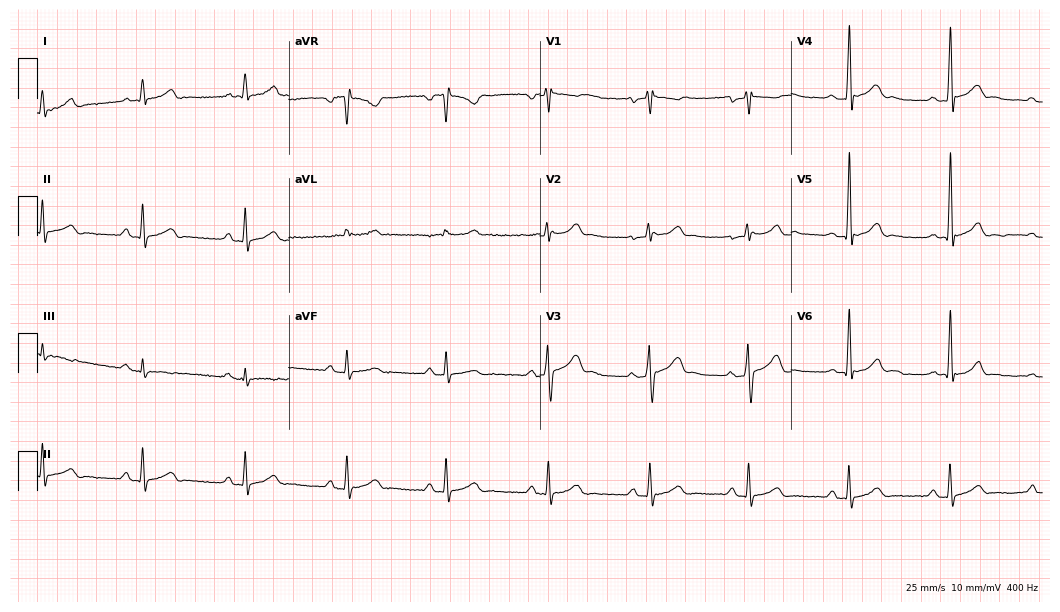
Resting 12-lead electrocardiogram. Patient: a male, 48 years old. Read as a normal ECG.